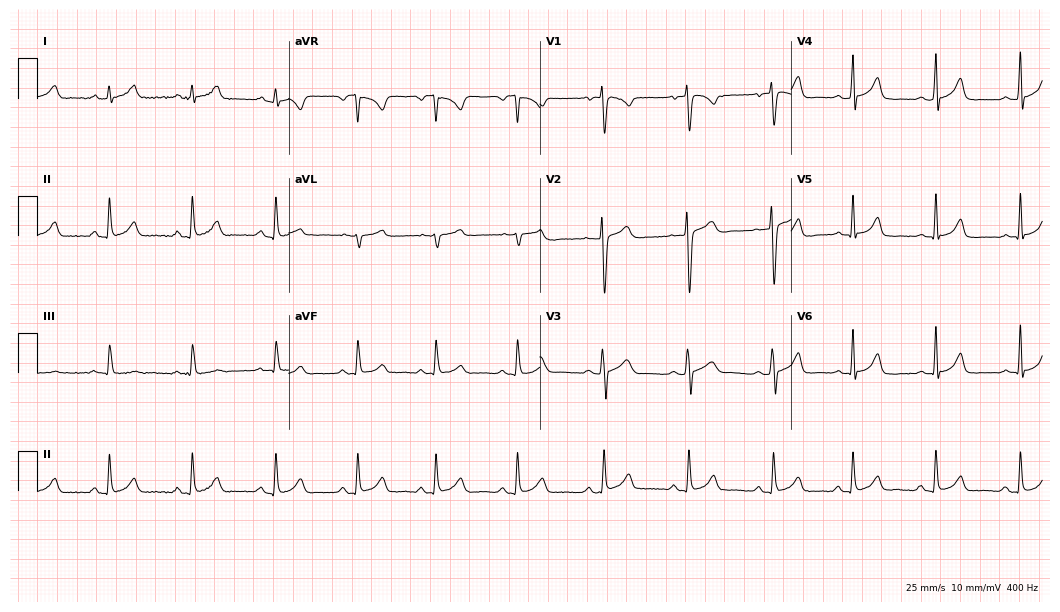
12-lead ECG from a 28-year-old female. Labelled as a normal ECG.